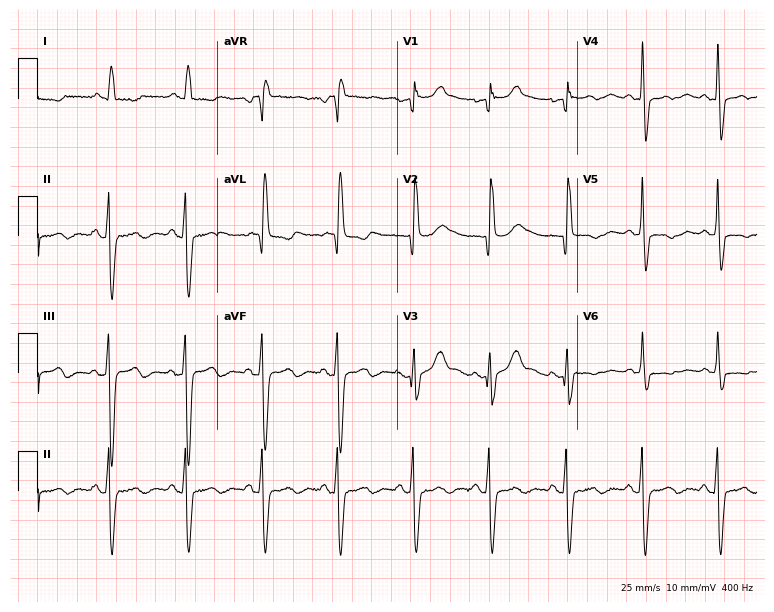
Resting 12-lead electrocardiogram (7.3-second recording at 400 Hz). Patient: a woman, 79 years old. The tracing shows right bundle branch block.